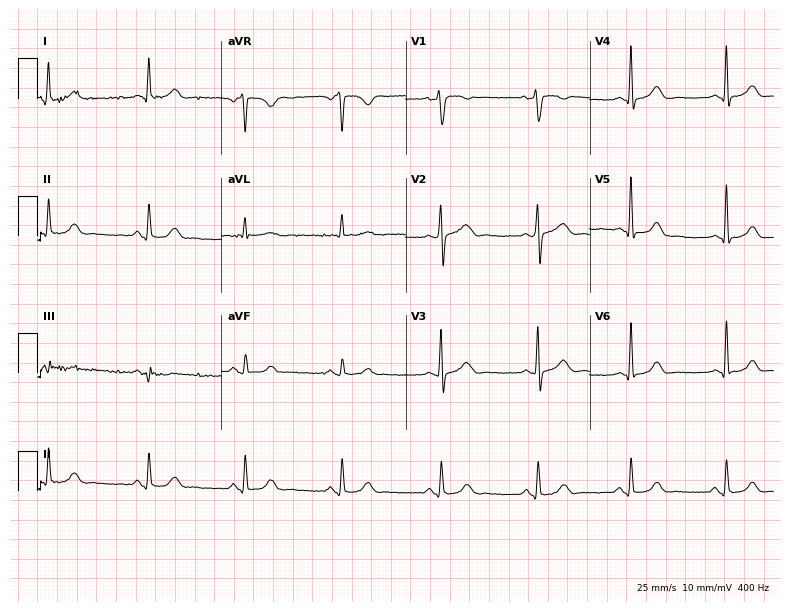
ECG (7.5-second recording at 400 Hz) — a female patient, 52 years old. Screened for six findings — first-degree AV block, right bundle branch block (RBBB), left bundle branch block (LBBB), sinus bradycardia, atrial fibrillation (AF), sinus tachycardia — none is recorded. Other findings, if any, are not listed.